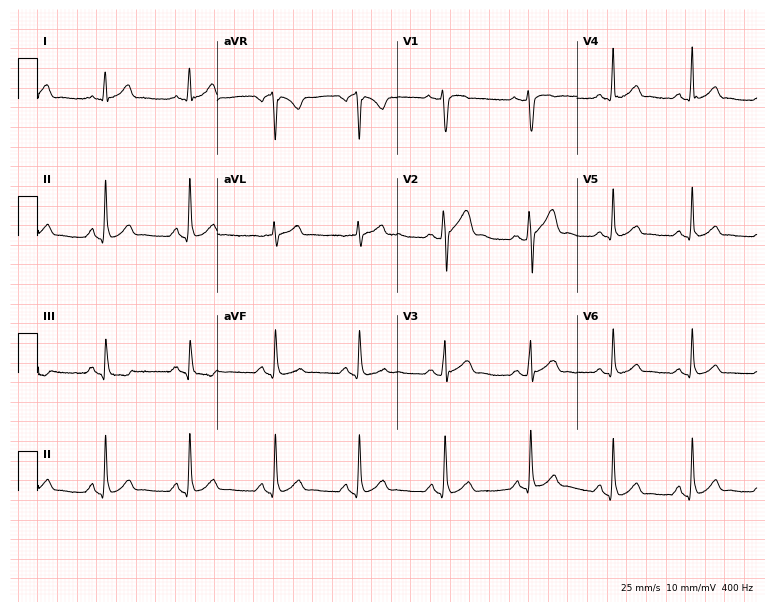
Standard 12-lead ECG recorded from a 33-year-old man. Read as a normal ECG.